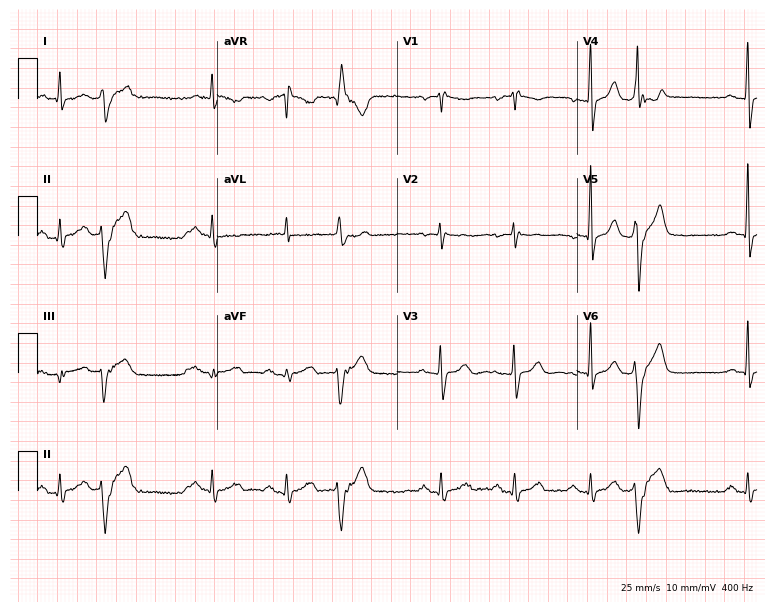
ECG (7.3-second recording at 400 Hz) — a man, 76 years old. Screened for six findings — first-degree AV block, right bundle branch block (RBBB), left bundle branch block (LBBB), sinus bradycardia, atrial fibrillation (AF), sinus tachycardia — none is recorded. Only these six findings were labelled.